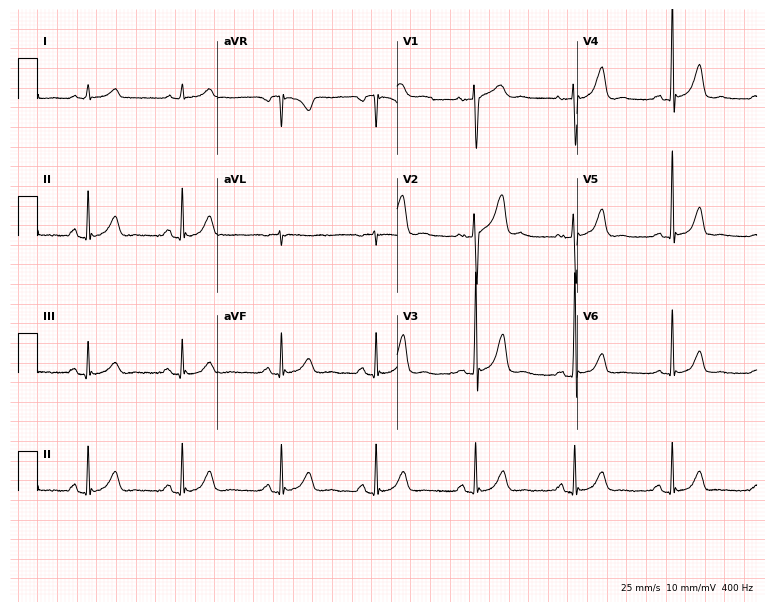
ECG — a 69-year-old female. Screened for six findings — first-degree AV block, right bundle branch block (RBBB), left bundle branch block (LBBB), sinus bradycardia, atrial fibrillation (AF), sinus tachycardia — none is recorded. Other findings, if any, are not listed.